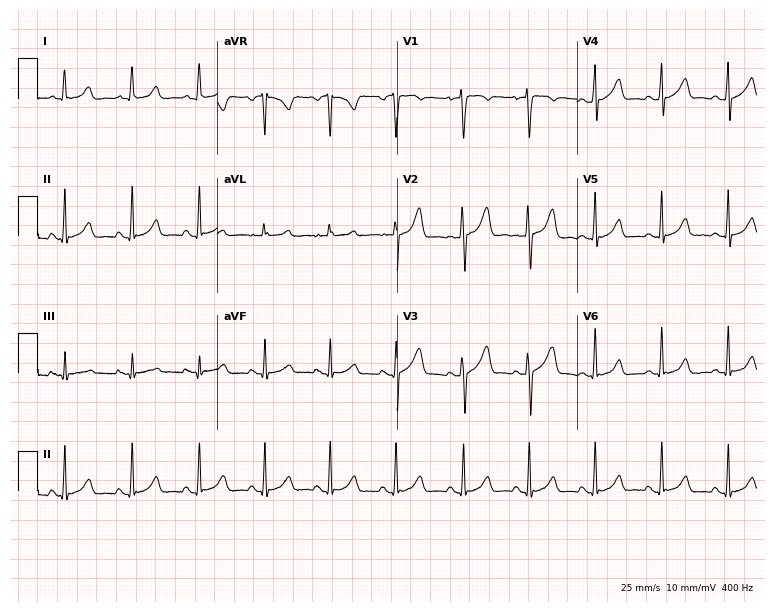
Resting 12-lead electrocardiogram. Patient: a woman, 27 years old. Read as a normal ECG.